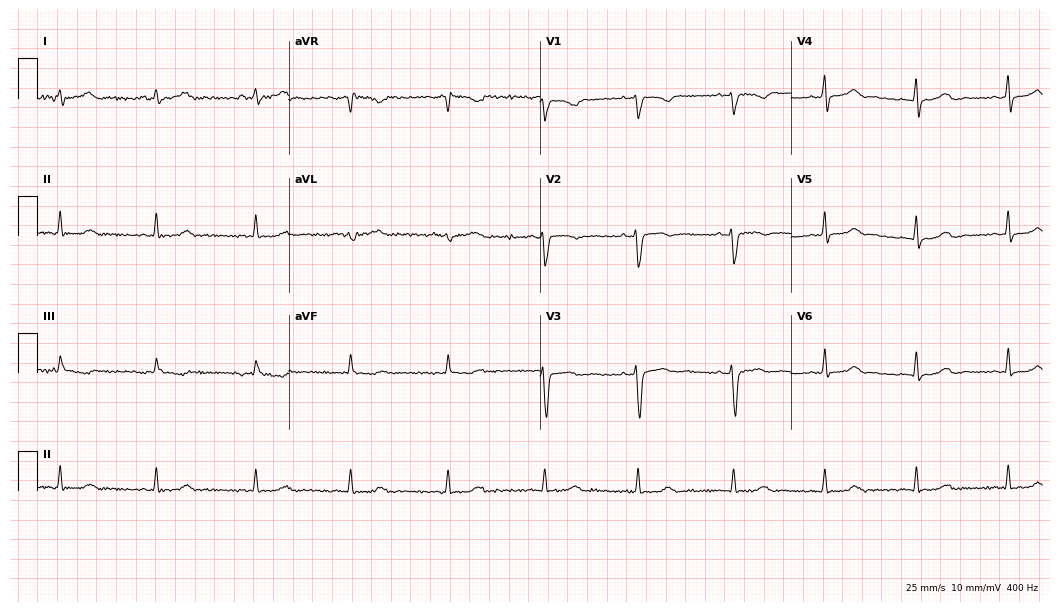
Electrocardiogram, a 40-year-old female patient. Overall reading on record: normal ECG.